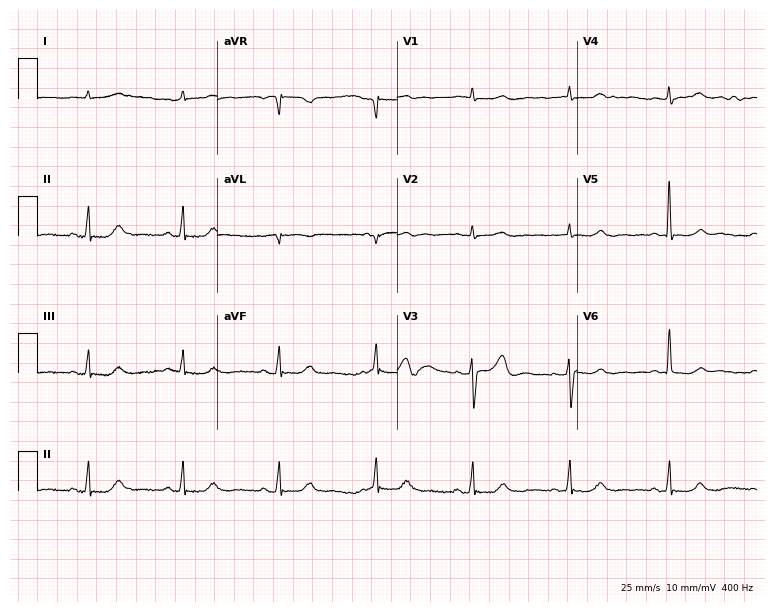
12-lead ECG from a 74-year-old female. Screened for six findings — first-degree AV block, right bundle branch block, left bundle branch block, sinus bradycardia, atrial fibrillation, sinus tachycardia — none is recorded. Only these six findings were labelled.